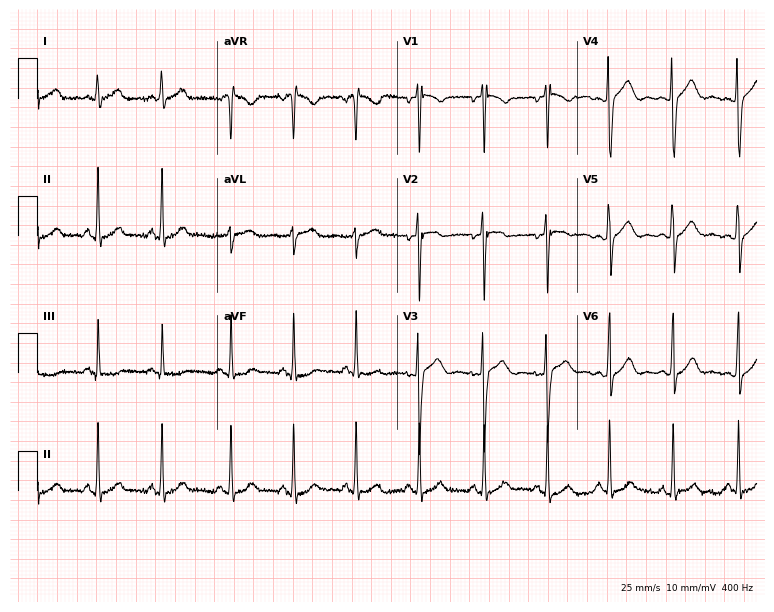
12-lead ECG from an 18-year-old woman. Screened for six findings — first-degree AV block, right bundle branch block, left bundle branch block, sinus bradycardia, atrial fibrillation, sinus tachycardia — none is recorded.